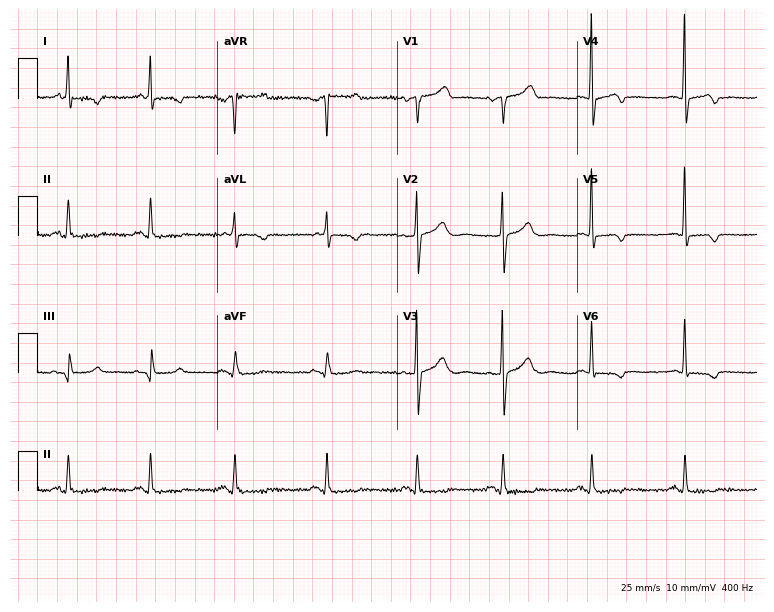
ECG (7.3-second recording at 400 Hz) — a 69-year-old female patient. Screened for six findings — first-degree AV block, right bundle branch block, left bundle branch block, sinus bradycardia, atrial fibrillation, sinus tachycardia — none is recorded.